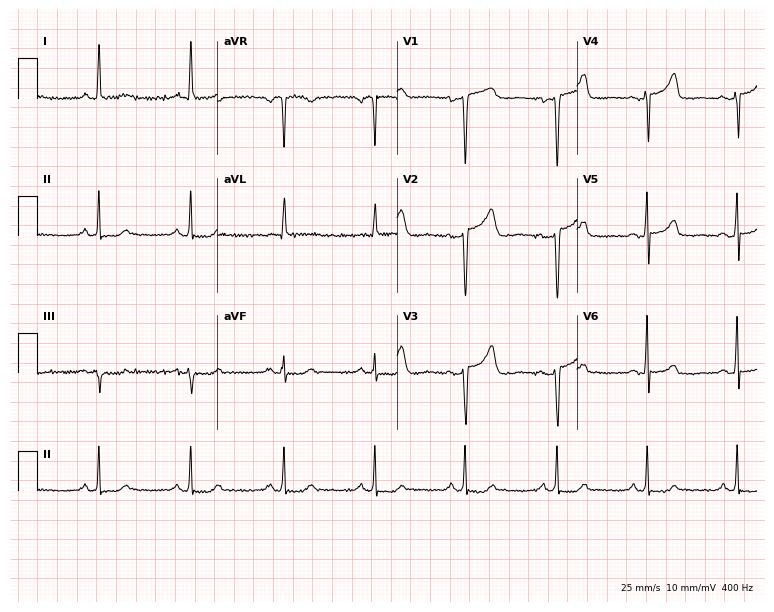
Electrocardiogram (7.3-second recording at 400 Hz), a female patient, 53 years old. Of the six screened findings (first-degree AV block, right bundle branch block (RBBB), left bundle branch block (LBBB), sinus bradycardia, atrial fibrillation (AF), sinus tachycardia), none is recorded.